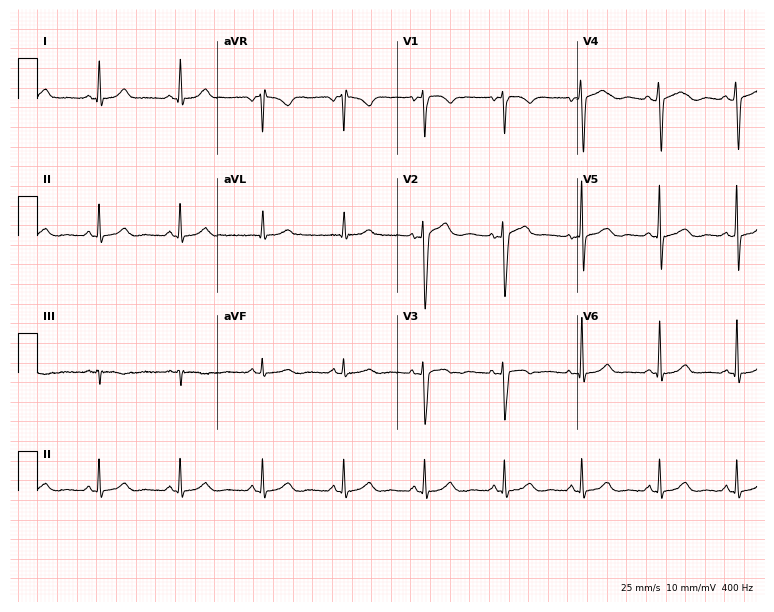
ECG — a male patient, 46 years old. Labelled as a normal ECG.